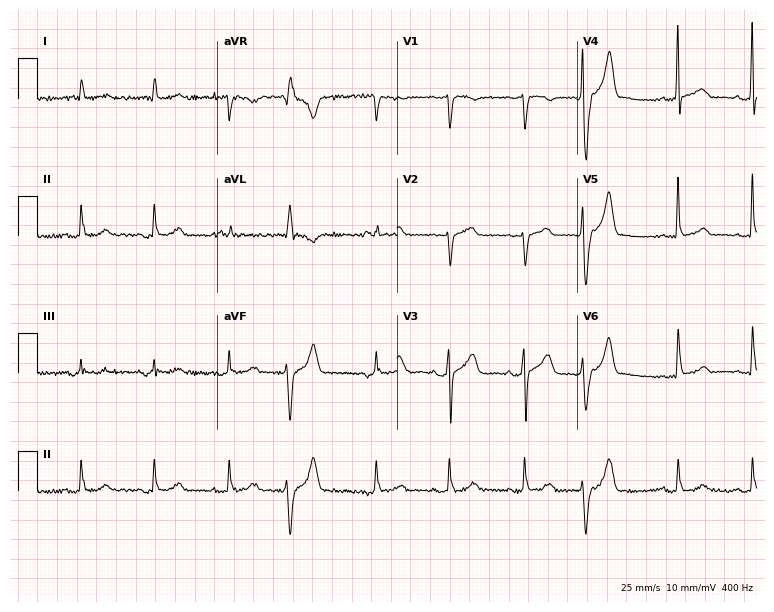
12-lead ECG from a female patient, 82 years old. Screened for six findings — first-degree AV block, right bundle branch block, left bundle branch block, sinus bradycardia, atrial fibrillation, sinus tachycardia — none is recorded. Other findings, if any, are not listed.